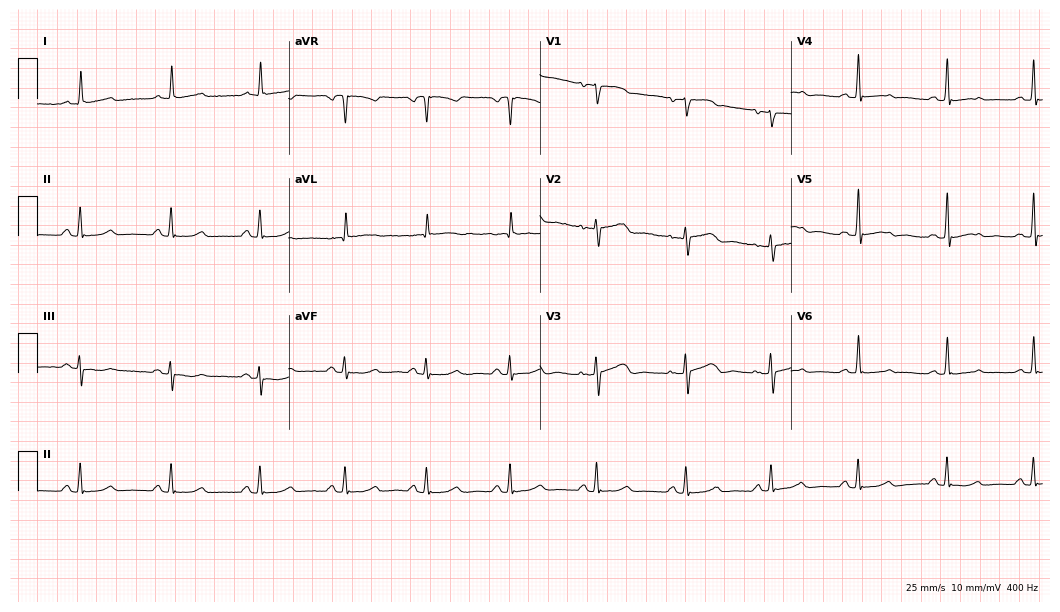
ECG — a 70-year-old female. Labelled as a normal ECG.